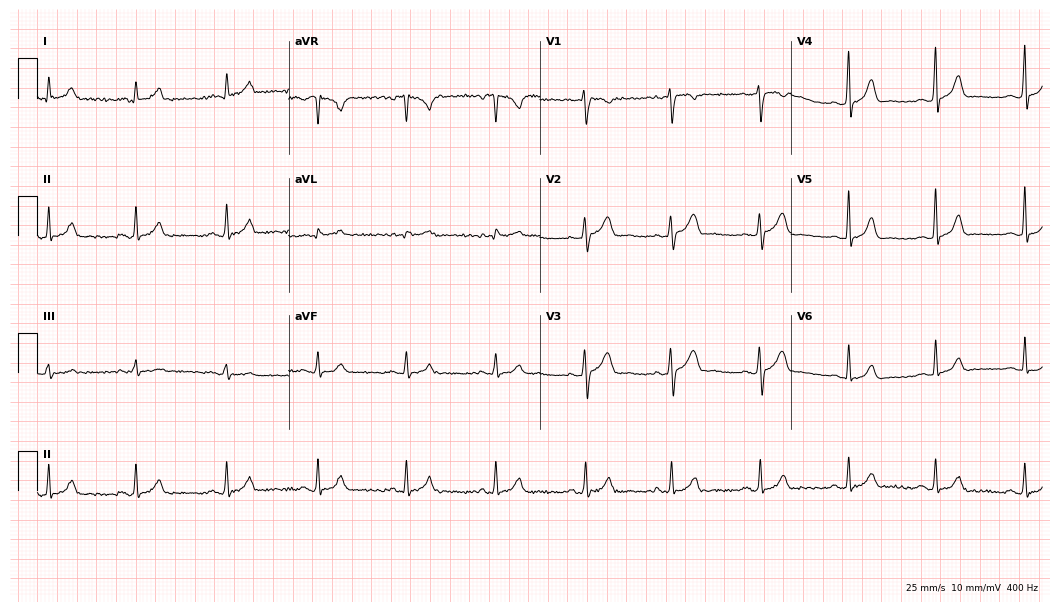
Resting 12-lead electrocardiogram (10.2-second recording at 400 Hz). Patient: a female, 37 years old. None of these six findings is recorded: first-degree AV block, right bundle branch block, left bundle branch block, sinus bradycardia, atrial fibrillation, sinus tachycardia. Other findings, if any, are not listed.